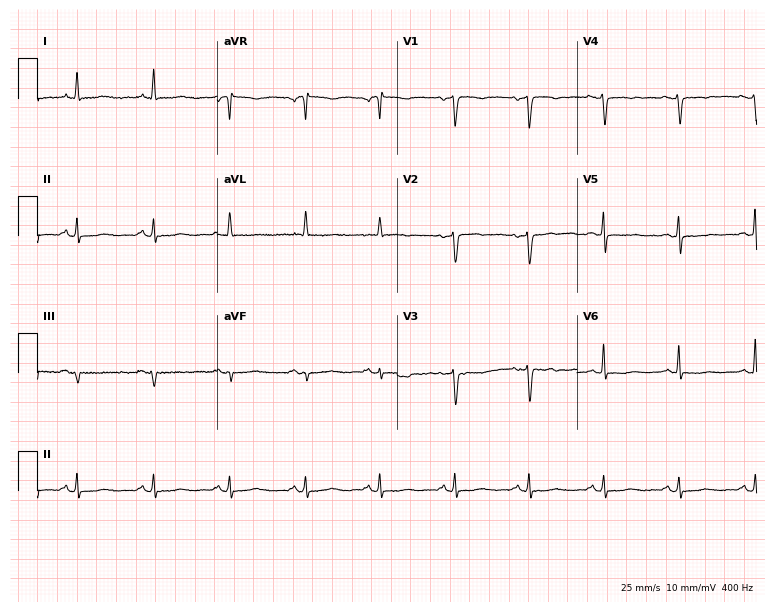
ECG (7.3-second recording at 400 Hz) — a female patient, 69 years old. Screened for six findings — first-degree AV block, right bundle branch block, left bundle branch block, sinus bradycardia, atrial fibrillation, sinus tachycardia — none is recorded. Only these six findings were labelled.